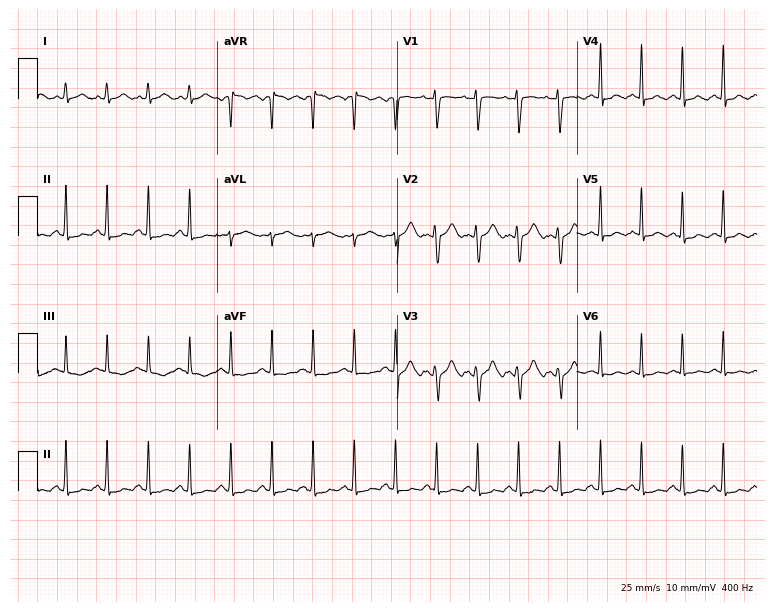
12-lead ECG from a 23-year-old female (7.3-second recording at 400 Hz). Shows sinus tachycardia (a sinus rate of 100 beats per minute or more).